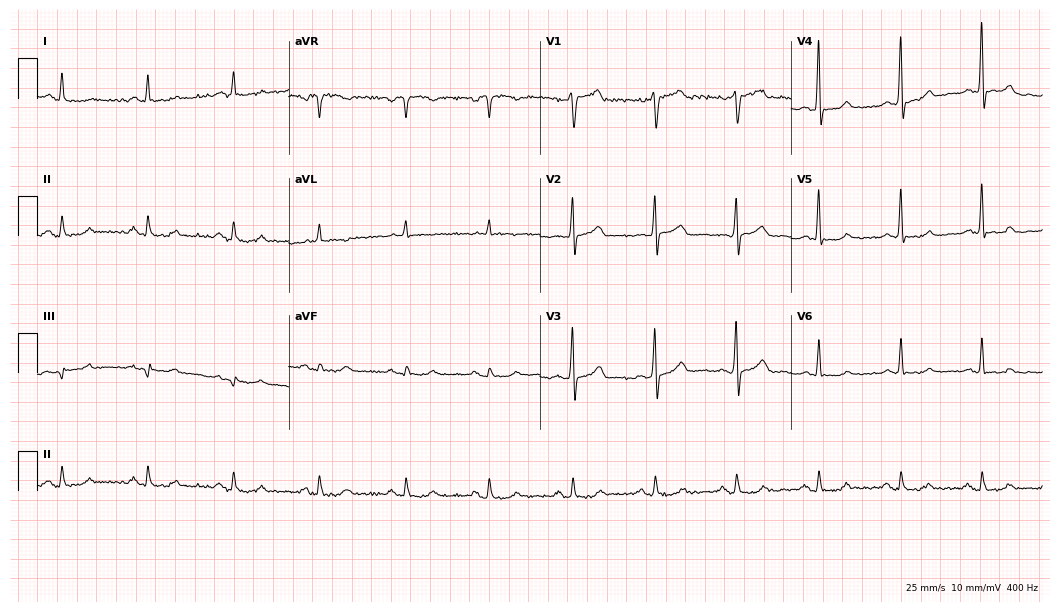
Electrocardiogram, a man, 57 years old. Overall reading on record: normal ECG.